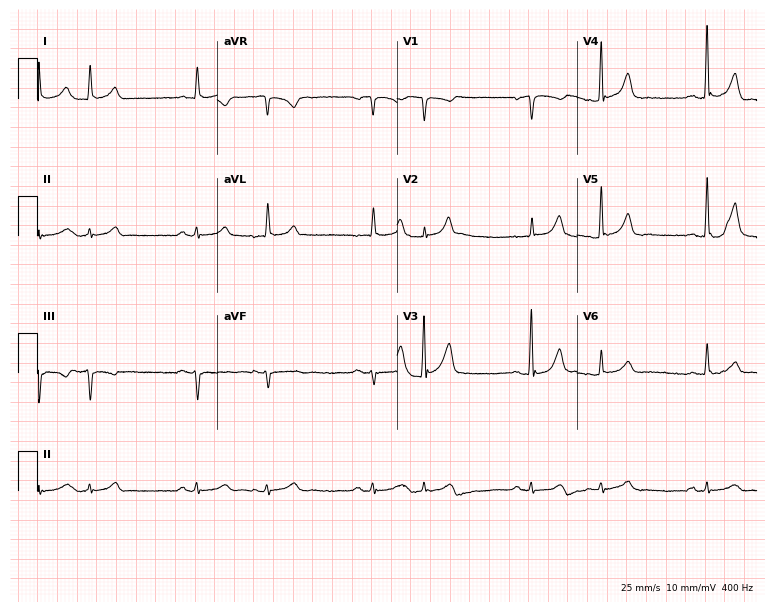
Resting 12-lead electrocardiogram (7.3-second recording at 400 Hz). Patient: a 68-year-old man. None of these six findings is recorded: first-degree AV block, right bundle branch block, left bundle branch block, sinus bradycardia, atrial fibrillation, sinus tachycardia.